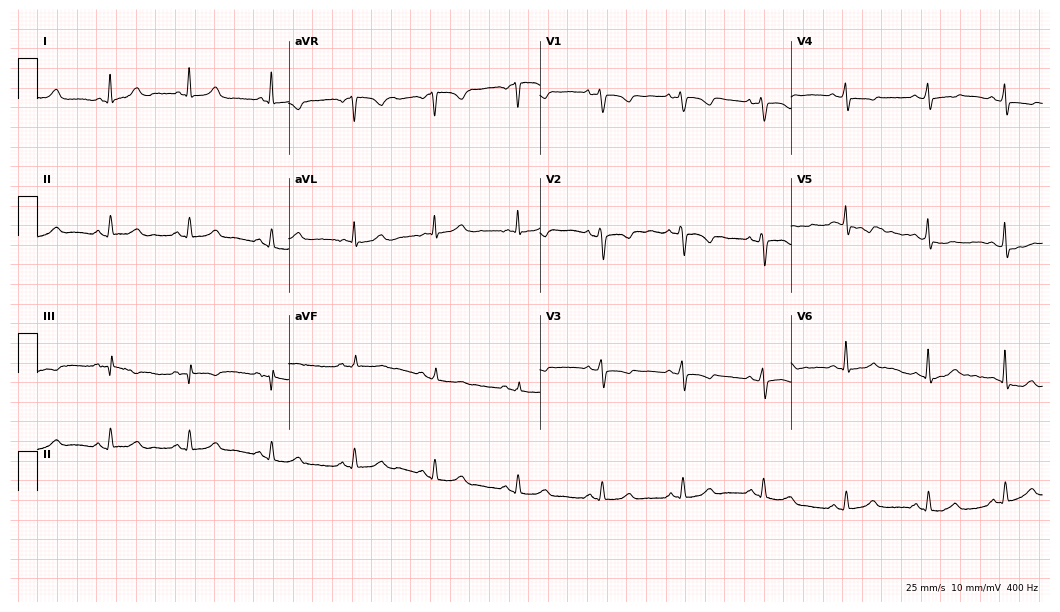
12-lead ECG from a 50-year-old woman (10.2-second recording at 400 Hz). No first-degree AV block, right bundle branch block (RBBB), left bundle branch block (LBBB), sinus bradycardia, atrial fibrillation (AF) or sinus tachycardia recorded for this tracing.